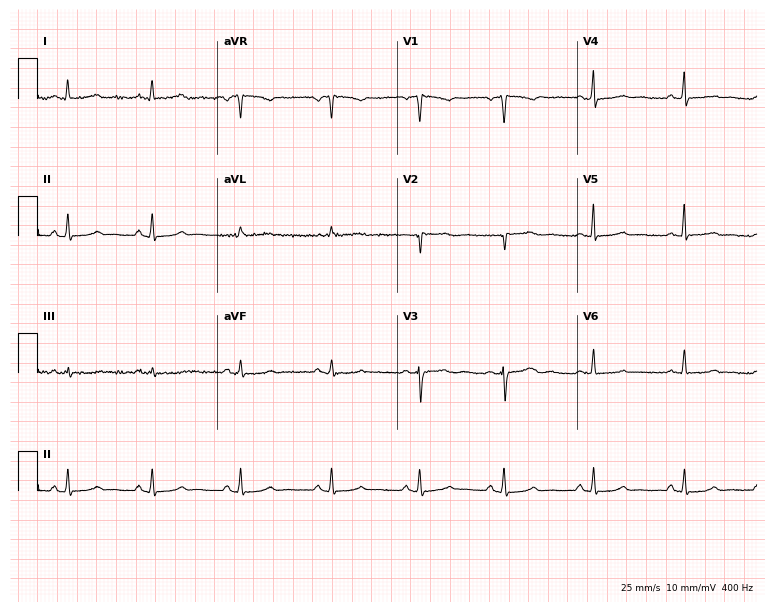
12-lead ECG from a female patient, 45 years old. No first-degree AV block, right bundle branch block (RBBB), left bundle branch block (LBBB), sinus bradycardia, atrial fibrillation (AF) or sinus tachycardia recorded for this tracing. Other findings, if any, are not listed.